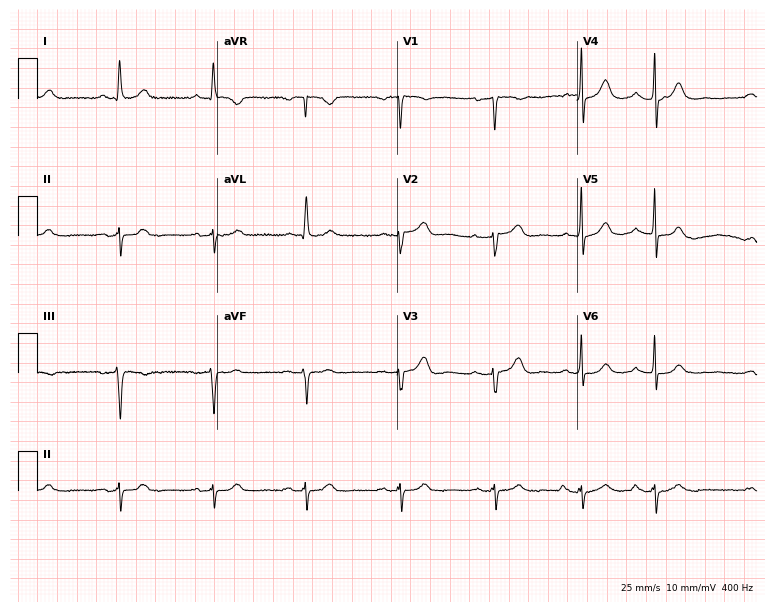
12-lead ECG from a male patient, 83 years old. No first-degree AV block, right bundle branch block, left bundle branch block, sinus bradycardia, atrial fibrillation or sinus tachycardia recorded for this tracing.